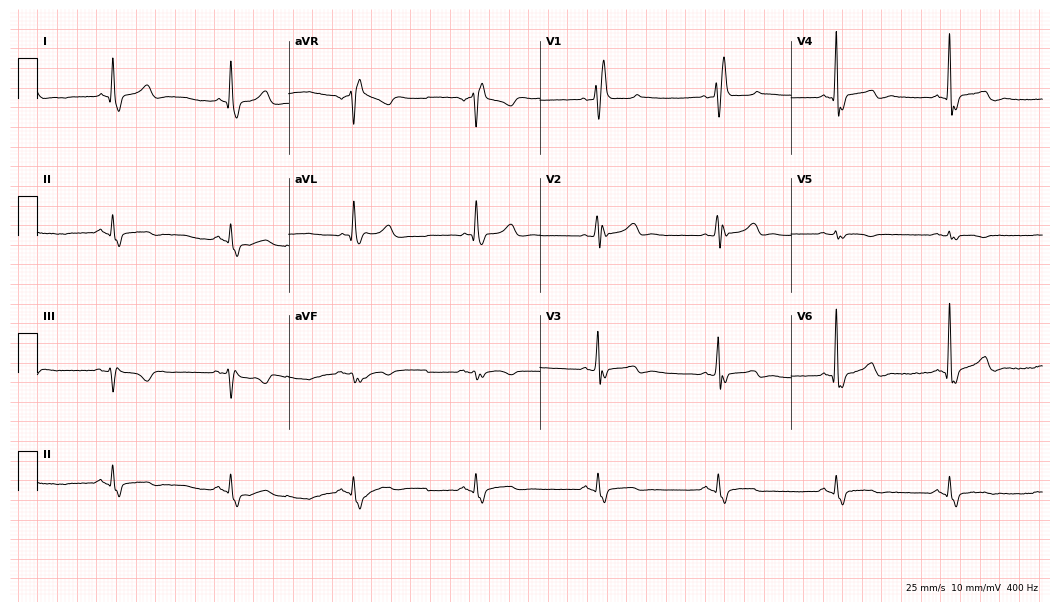
12-lead ECG from a 75-year-old male patient. No first-degree AV block, right bundle branch block, left bundle branch block, sinus bradycardia, atrial fibrillation or sinus tachycardia recorded for this tracing.